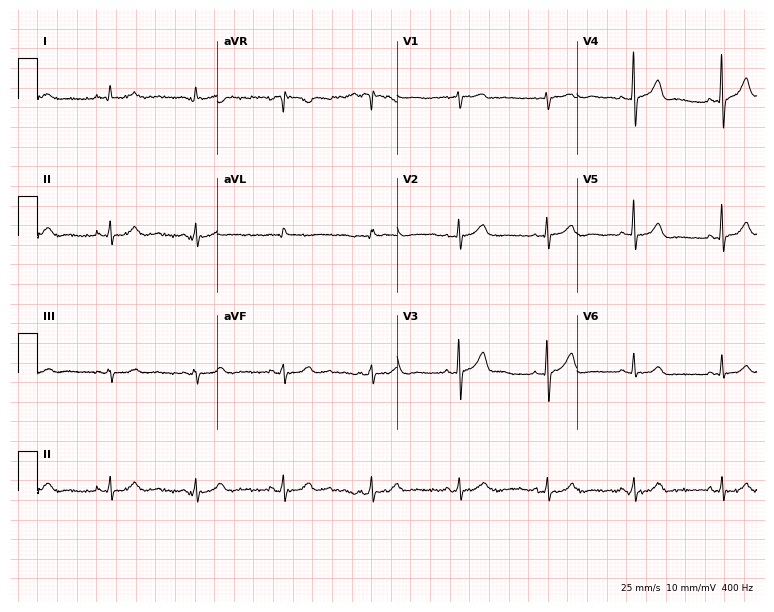
12-lead ECG from a 72-year-old man. Recorded interpretation: within normal limits.